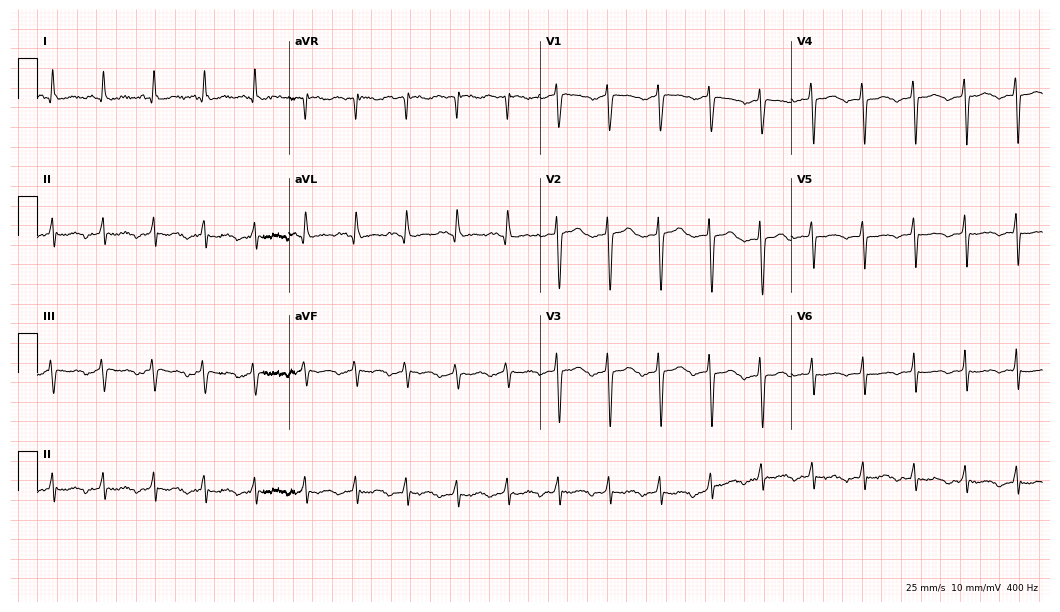
ECG (10.2-second recording at 400 Hz) — a 51-year-old woman. Screened for six findings — first-degree AV block, right bundle branch block (RBBB), left bundle branch block (LBBB), sinus bradycardia, atrial fibrillation (AF), sinus tachycardia — none is recorded.